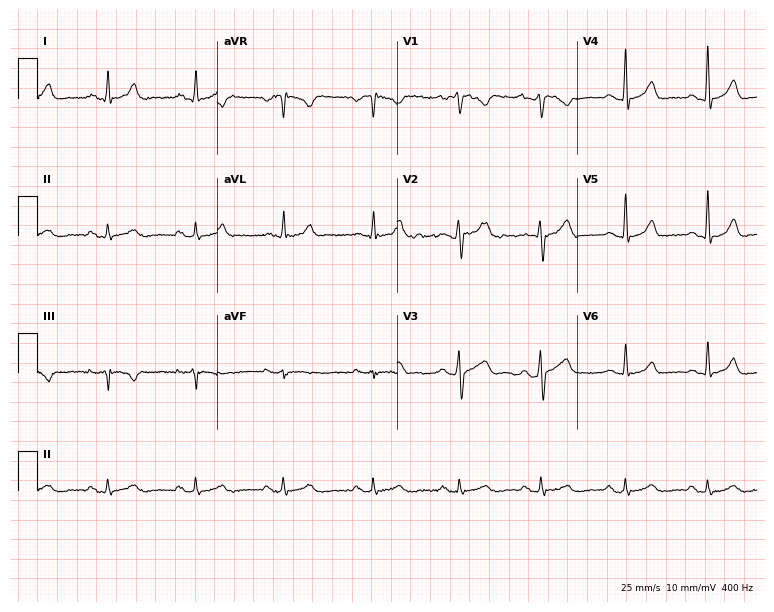
12-lead ECG (7.3-second recording at 400 Hz) from a man, 39 years old. Screened for six findings — first-degree AV block, right bundle branch block, left bundle branch block, sinus bradycardia, atrial fibrillation, sinus tachycardia — none is recorded. Findings outside these six are not listed.